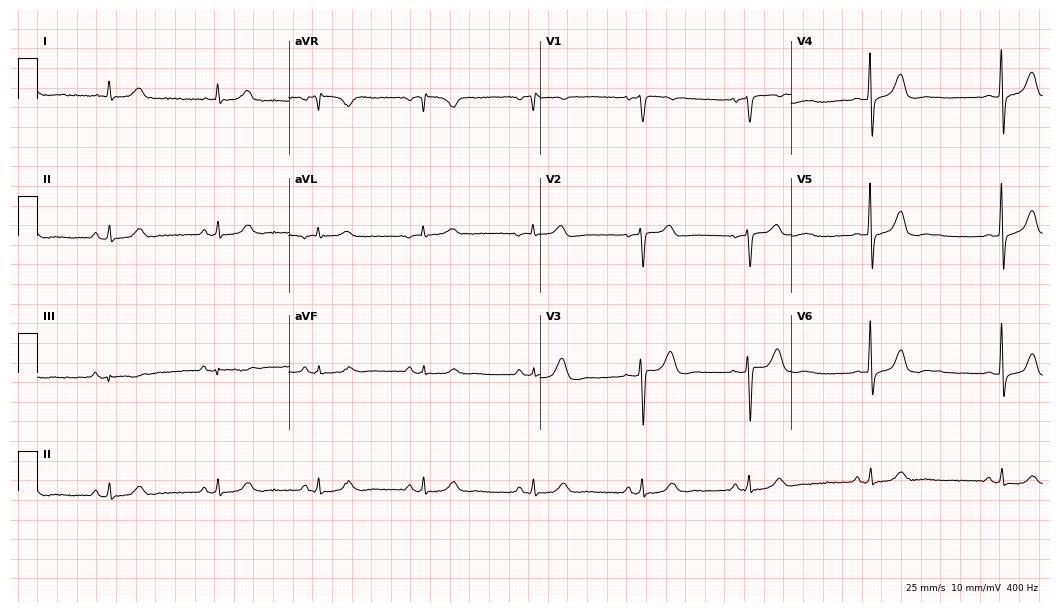
12-lead ECG (10.2-second recording at 400 Hz) from a female patient, 72 years old. Labelled as a normal ECG.